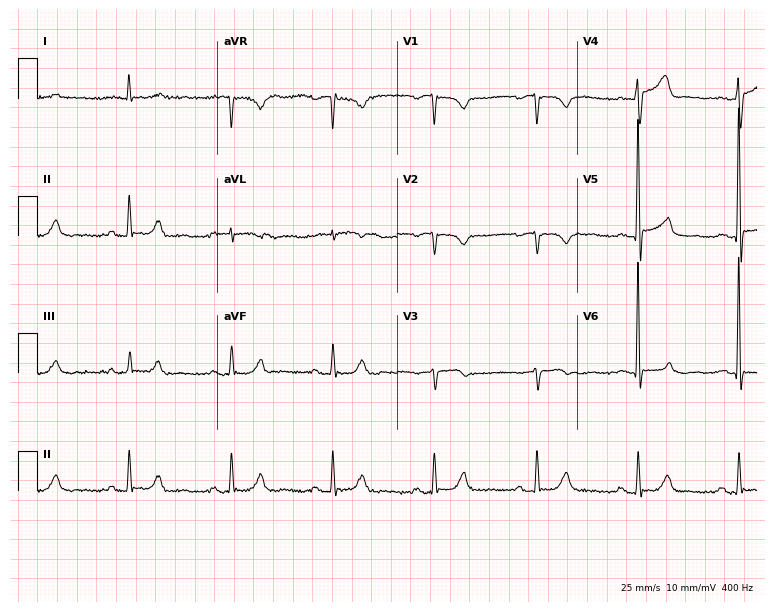
12-lead ECG from a male, 81 years old. Screened for six findings — first-degree AV block, right bundle branch block, left bundle branch block, sinus bradycardia, atrial fibrillation, sinus tachycardia — none is recorded.